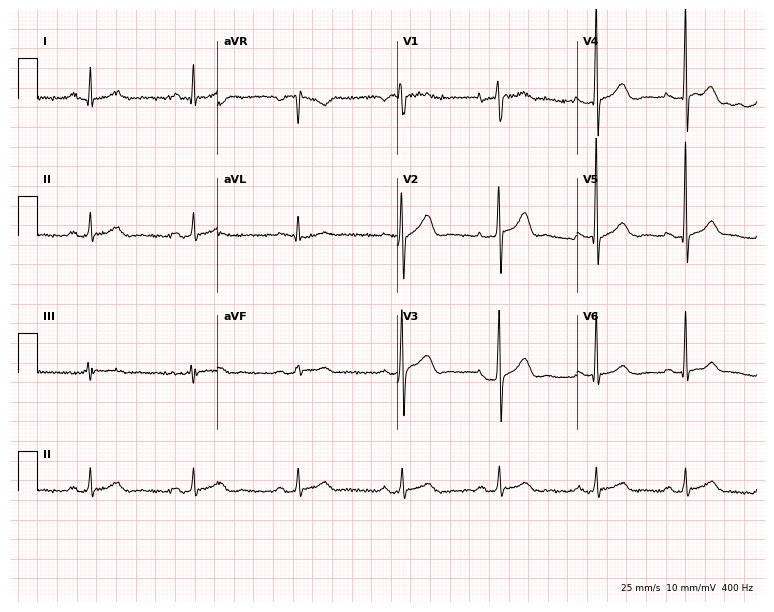
12-lead ECG from a 53-year-old man. Recorded interpretation: within normal limits.